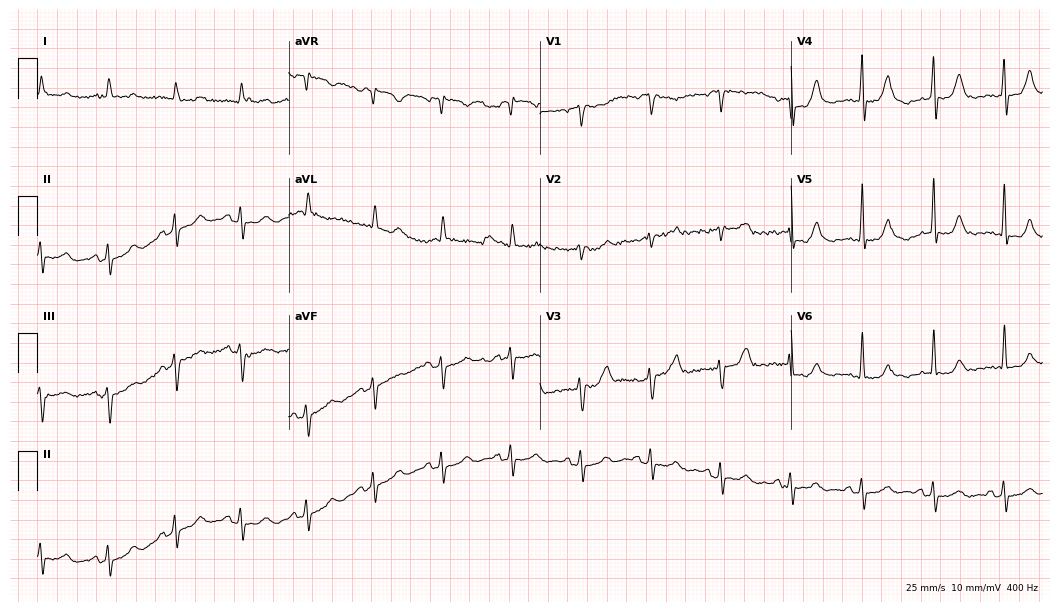
Resting 12-lead electrocardiogram (10.2-second recording at 400 Hz). Patient: a male, 66 years old. None of these six findings is recorded: first-degree AV block, right bundle branch block, left bundle branch block, sinus bradycardia, atrial fibrillation, sinus tachycardia. Only these six findings were labelled.